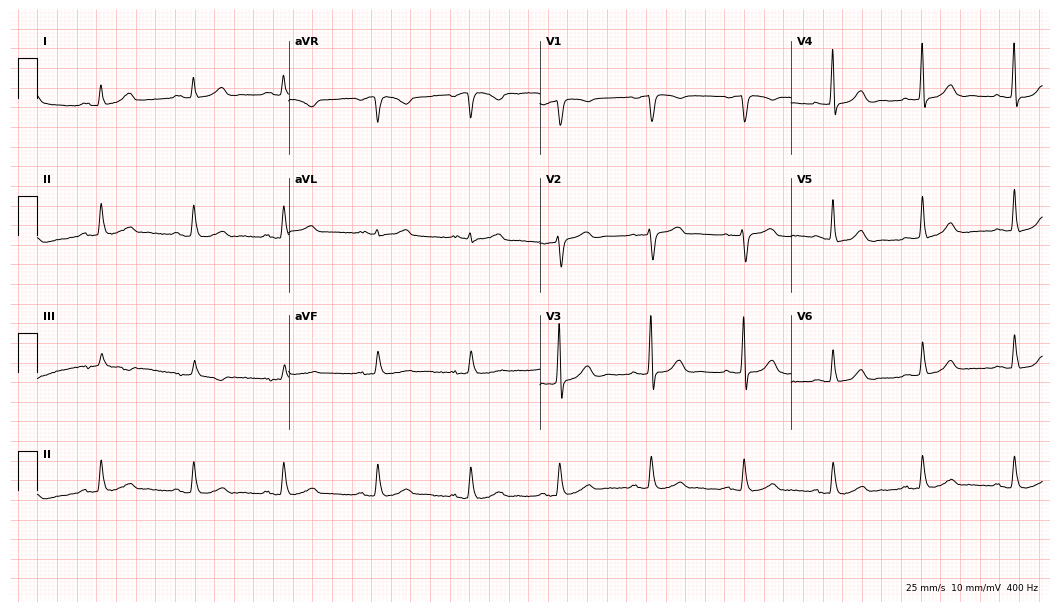
Electrocardiogram, a female patient, 45 years old. Of the six screened findings (first-degree AV block, right bundle branch block, left bundle branch block, sinus bradycardia, atrial fibrillation, sinus tachycardia), none is recorded. Only these six findings were labelled.